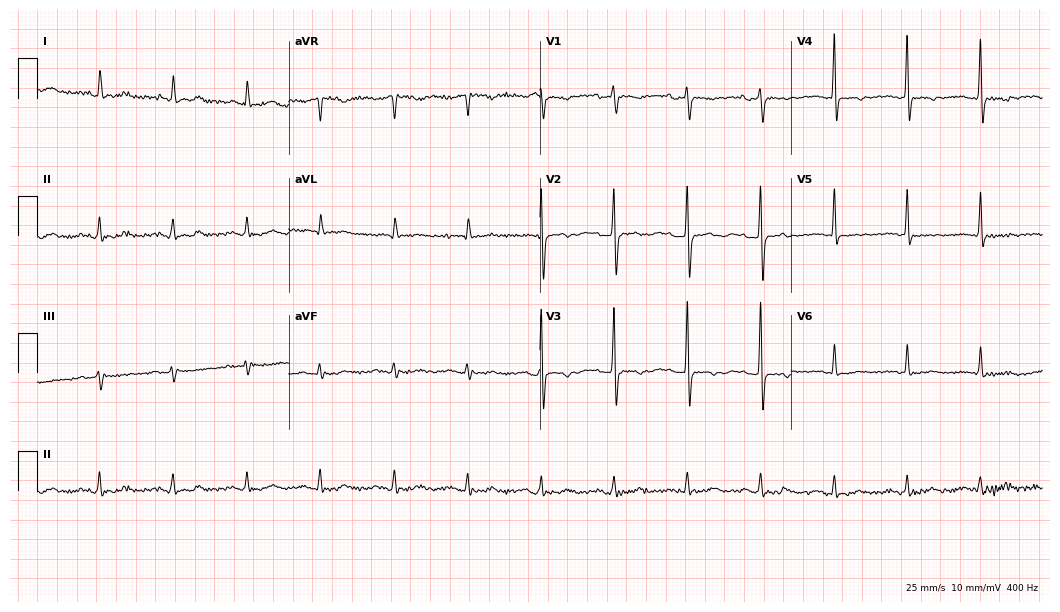
ECG — an 83-year-old female patient. Screened for six findings — first-degree AV block, right bundle branch block (RBBB), left bundle branch block (LBBB), sinus bradycardia, atrial fibrillation (AF), sinus tachycardia — none is recorded.